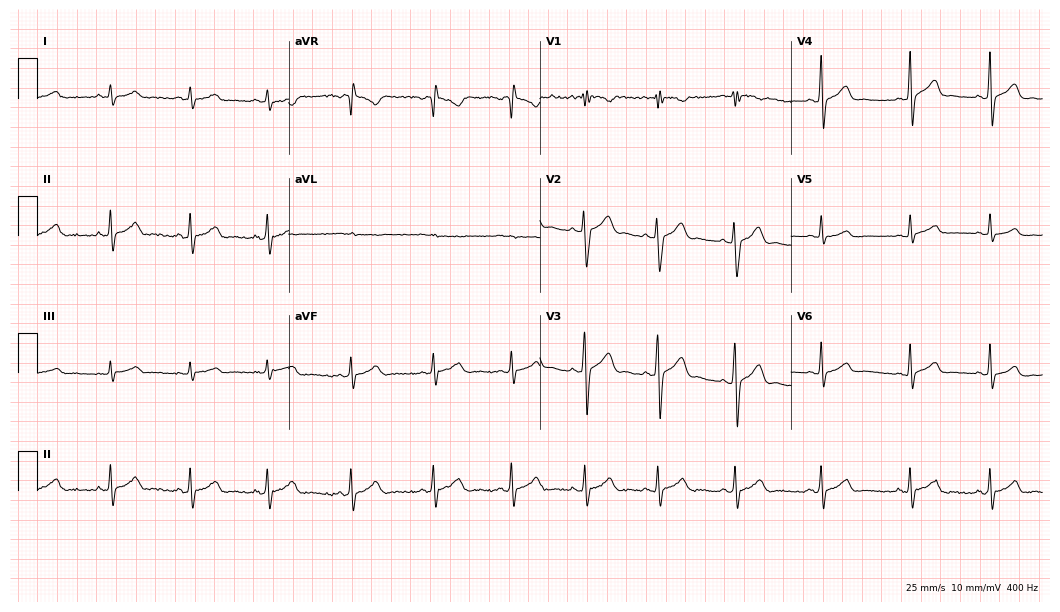
12-lead ECG from a male, 19 years old. No first-degree AV block, right bundle branch block, left bundle branch block, sinus bradycardia, atrial fibrillation or sinus tachycardia recorded for this tracing.